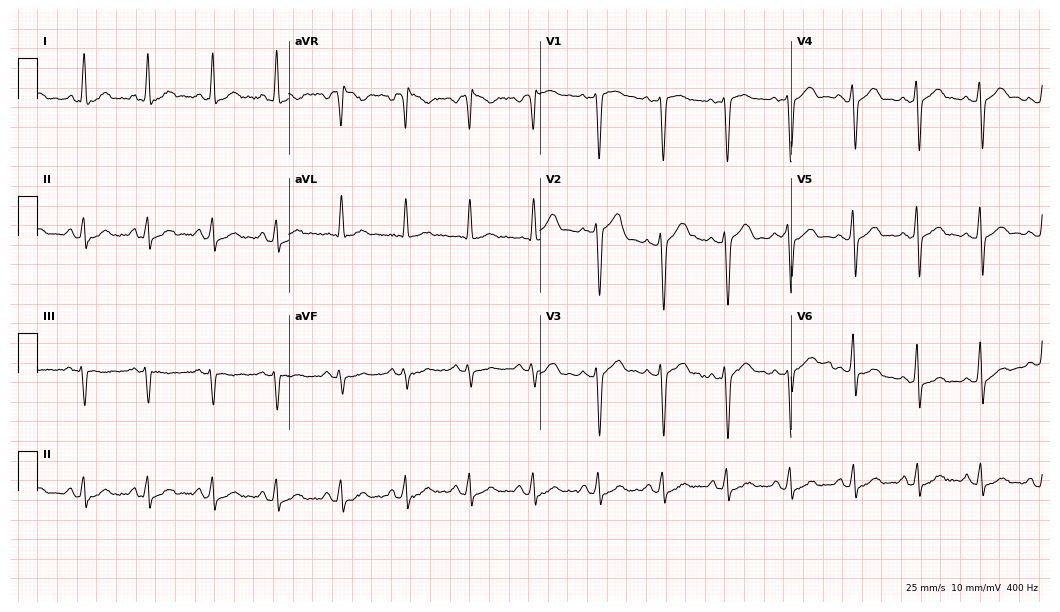
Electrocardiogram, a male, 67 years old. Overall reading on record: normal ECG.